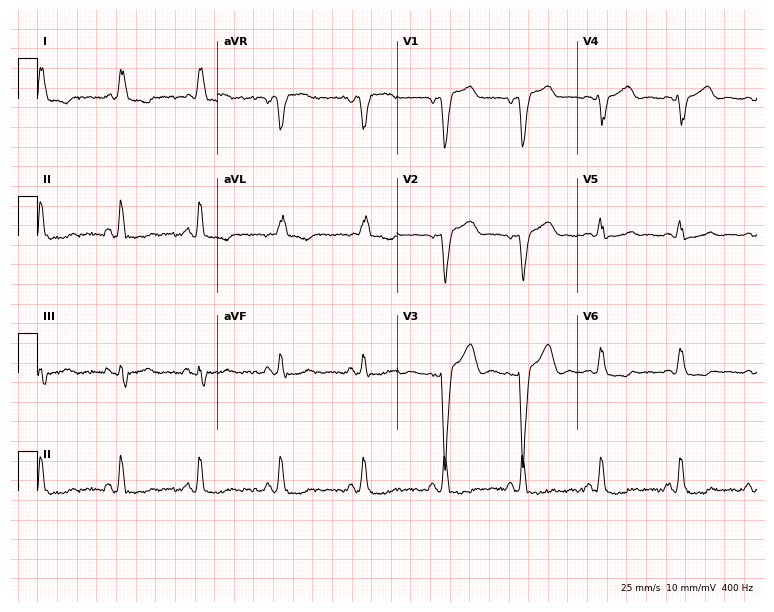
12-lead ECG from a 46-year-old female patient (7.3-second recording at 400 Hz). Shows left bundle branch block (LBBB).